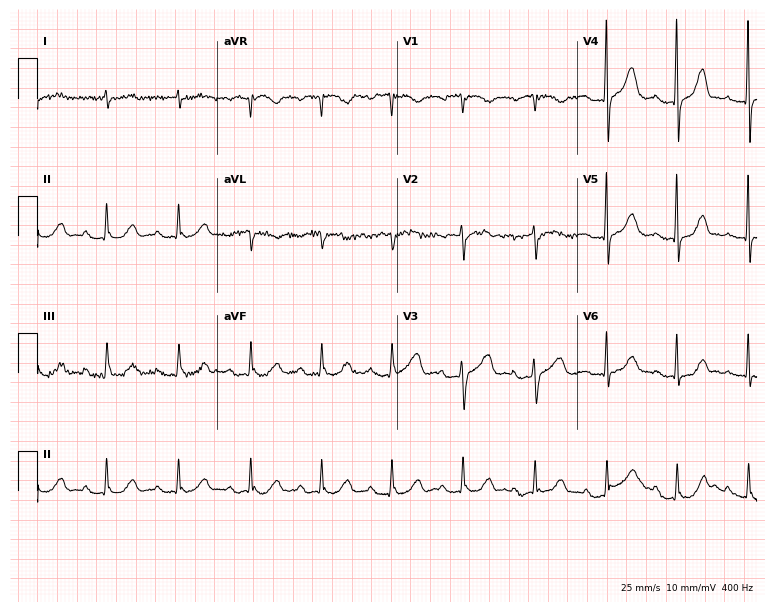
ECG — a 78-year-old woman. Findings include first-degree AV block.